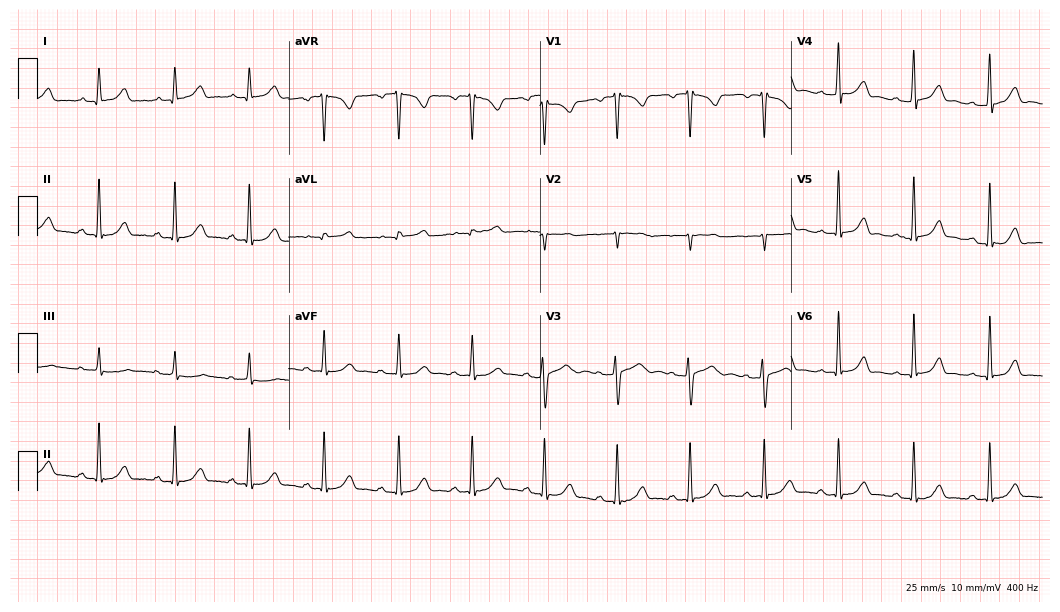
12-lead ECG (10.2-second recording at 400 Hz) from a woman, 35 years old. Screened for six findings — first-degree AV block, right bundle branch block, left bundle branch block, sinus bradycardia, atrial fibrillation, sinus tachycardia — none is recorded.